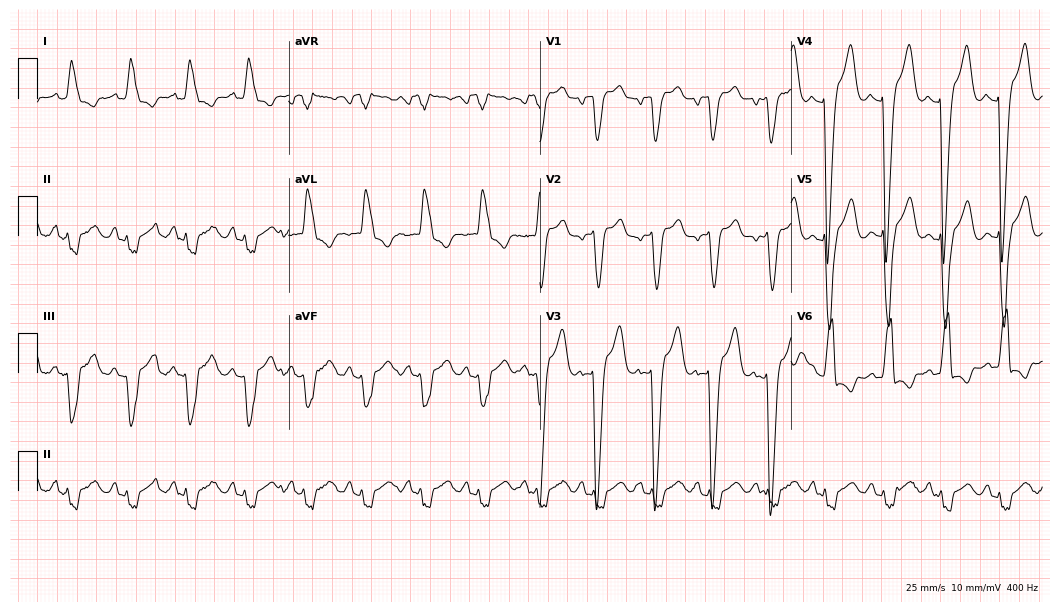
Electrocardiogram, a female, 50 years old. Interpretation includes left bundle branch block.